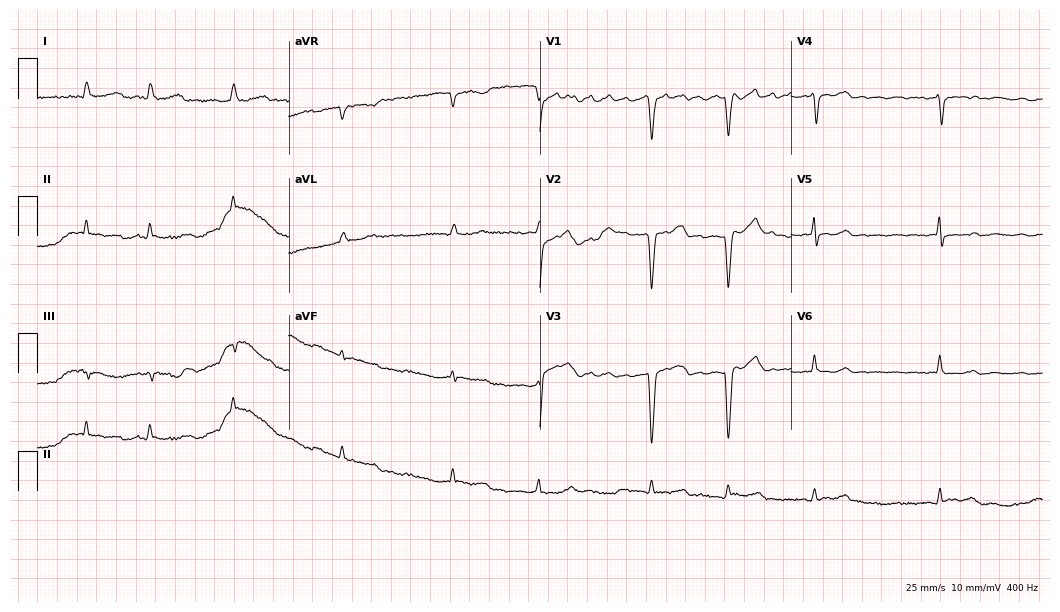
12-lead ECG from a man, 62 years old (10.2-second recording at 400 Hz). No first-degree AV block, right bundle branch block, left bundle branch block, sinus bradycardia, atrial fibrillation or sinus tachycardia recorded for this tracing. Findings outside these six are not listed.